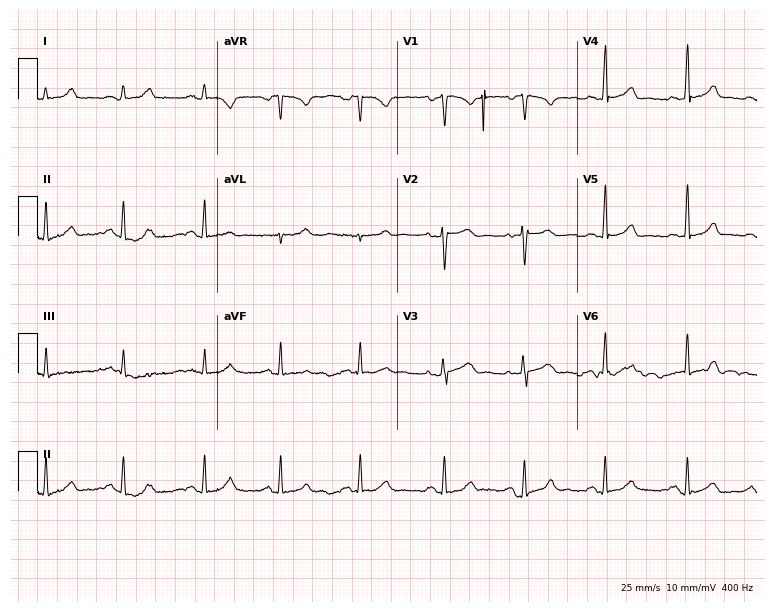
Standard 12-lead ECG recorded from a female, 45 years old (7.3-second recording at 400 Hz). Read as a normal ECG.